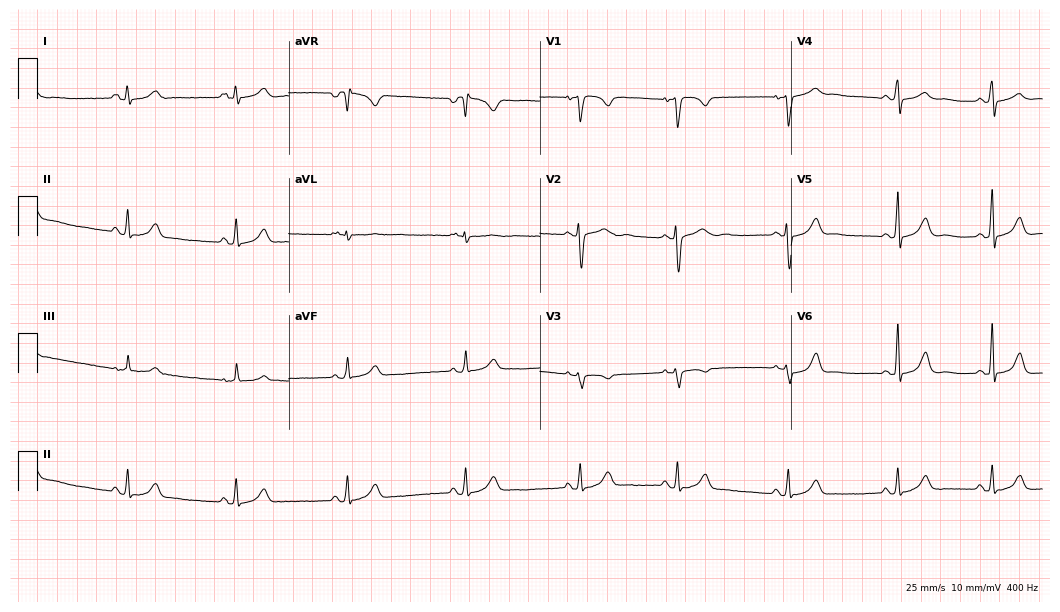
Resting 12-lead electrocardiogram. Patient: a 22-year-old woman. Read as a normal ECG.